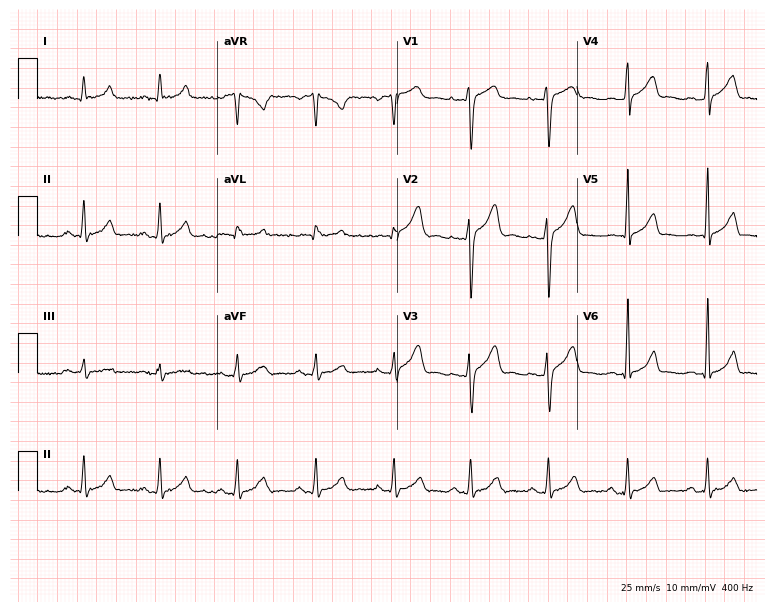
Standard 12-lead ECG recorded from a 24-year-old male. Read as a normal ECG.